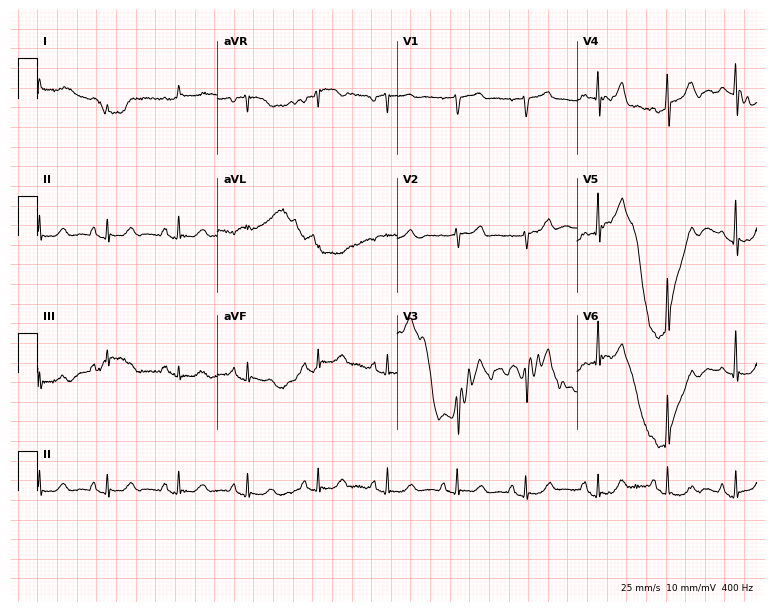
ECG — a 68-year-old man. Labelled as a normal ECG.